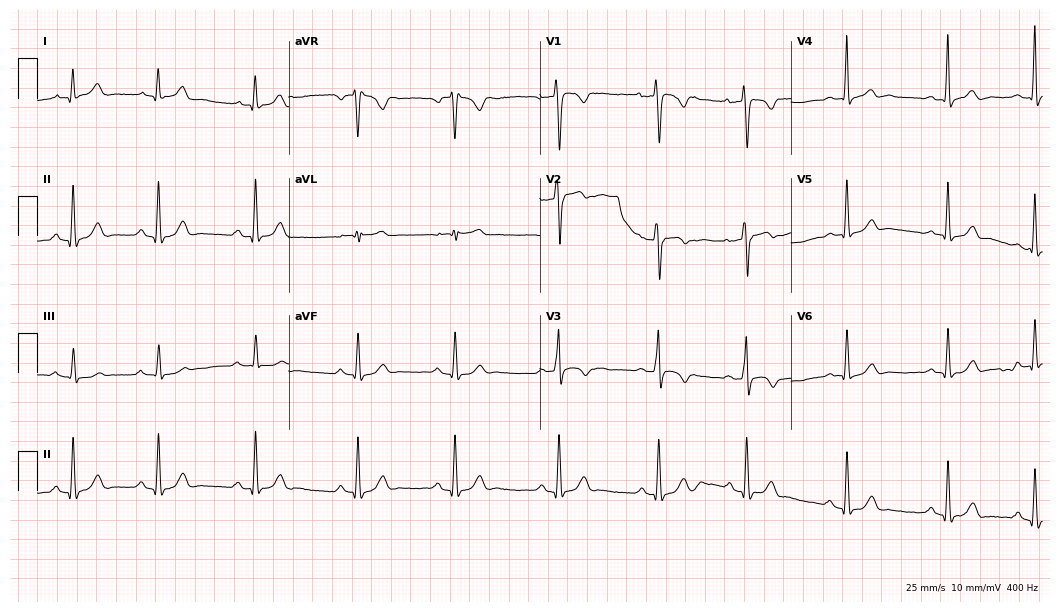
ECG — a male, 31 years old. Screened for six findings — first-degree AV block, right bundle branch block (RBBB), left bundle branch block (LBBB), sinus bradycardia, atrial fibrillation (AF), sinus tachycardia — none is recorded.